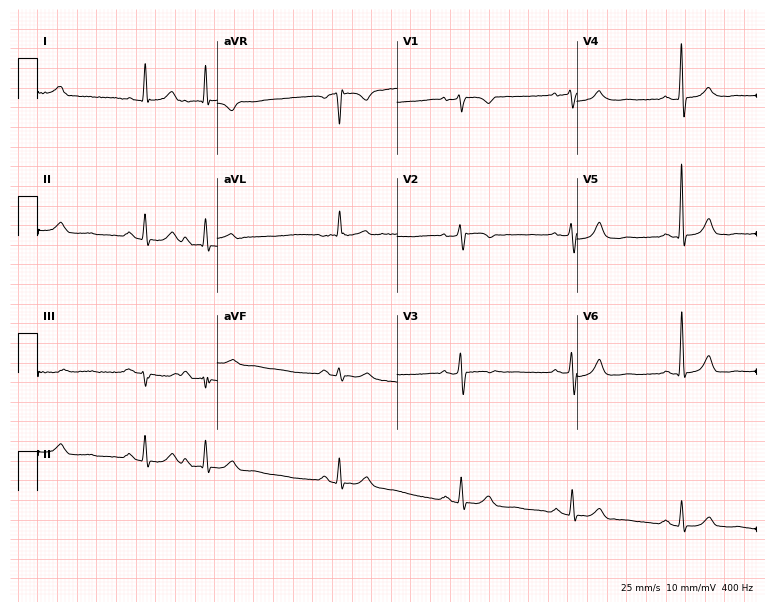
12-lead ECG from a 78-year-old female patient. No first-degree AV block, right bundle branch block, left bundle branch block, sinus bradycardia, atrial fibrillation or sinus tachycardia recorded for this tracing.